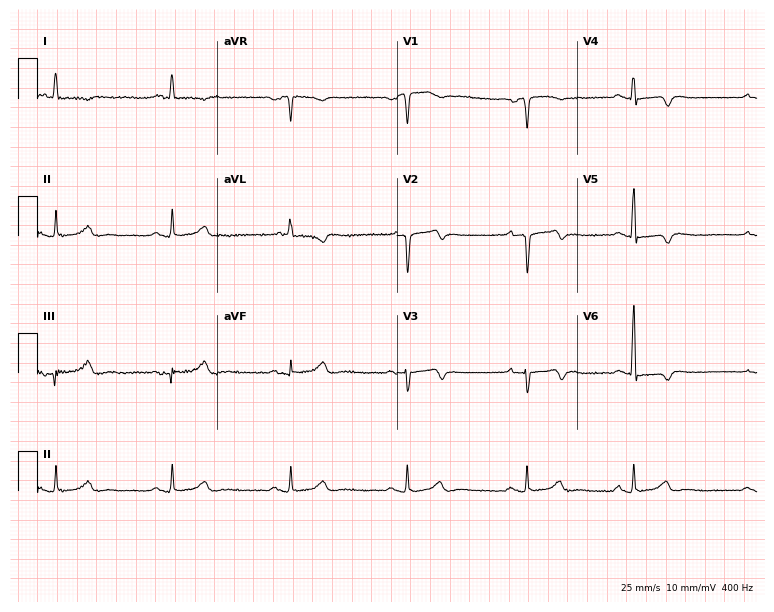
Electrocardiogram (7.3-second recording at 400 Hz), a male patient, 76 years old. Of the six screened findings (first-degree AV block, right bundle branch block, left bundle branch block, sinus bradycardia, atrial fibrillation, sinus tachycardia), none is recorded.